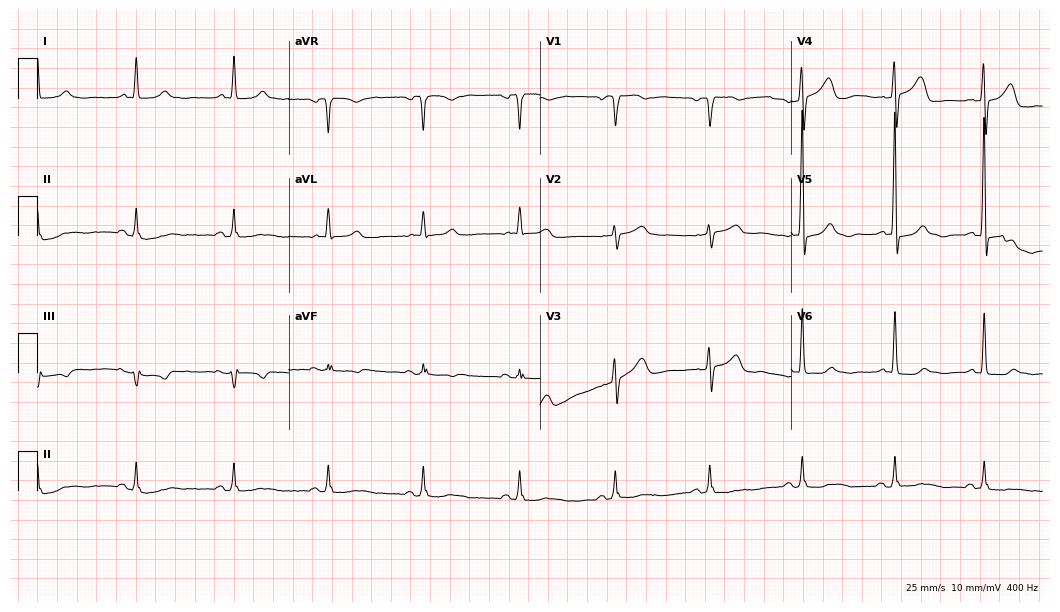
12-lead ECG from a man, 81 years old. Recorded interpretation: within normal limits.